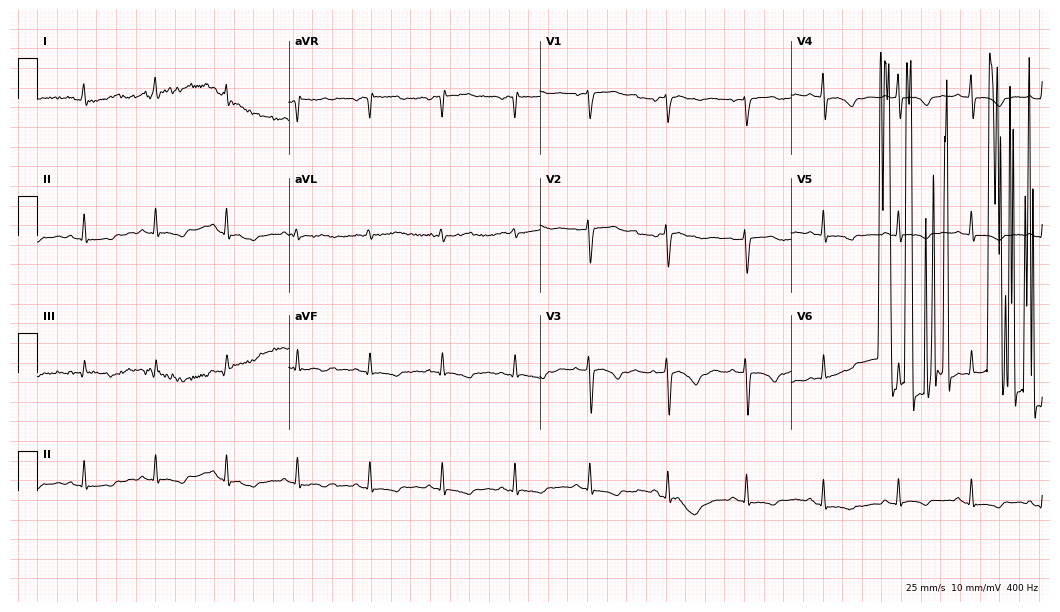
12-lead ECG from a female, 37 years old. Screened for six findings — first-degree AV block, right bundle branch block, left bundle branch block, sinus bradycardia, atrial fibrillation, sinus tachycardia — none is recorded.